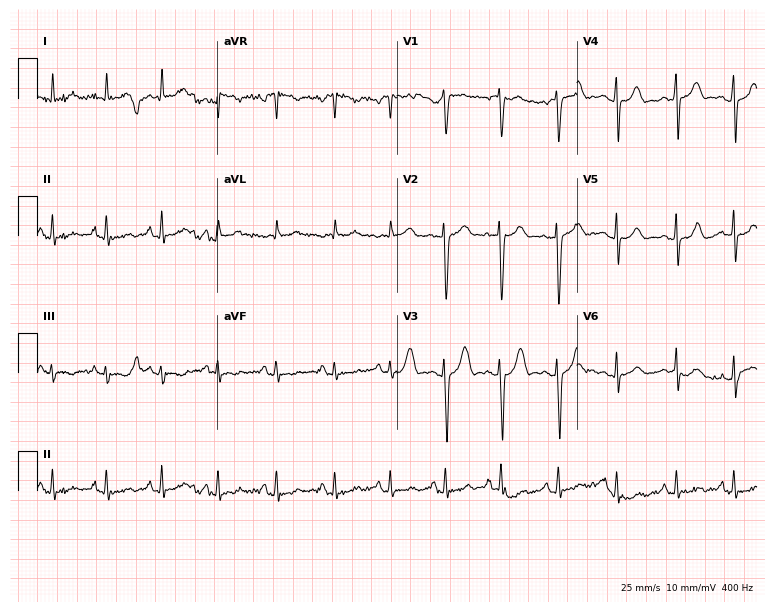
Resting 12-lead electrocardiogram (7.3-second recording at 400 Hz). Patient: a woman, 22 years old. None of these six findings is recorded: first-degree AV block, right bundle branch block, left bundle branch block, sinus bradycardia, atrial fibrillation, sinus tachycardia. Only these six findings were labelled.